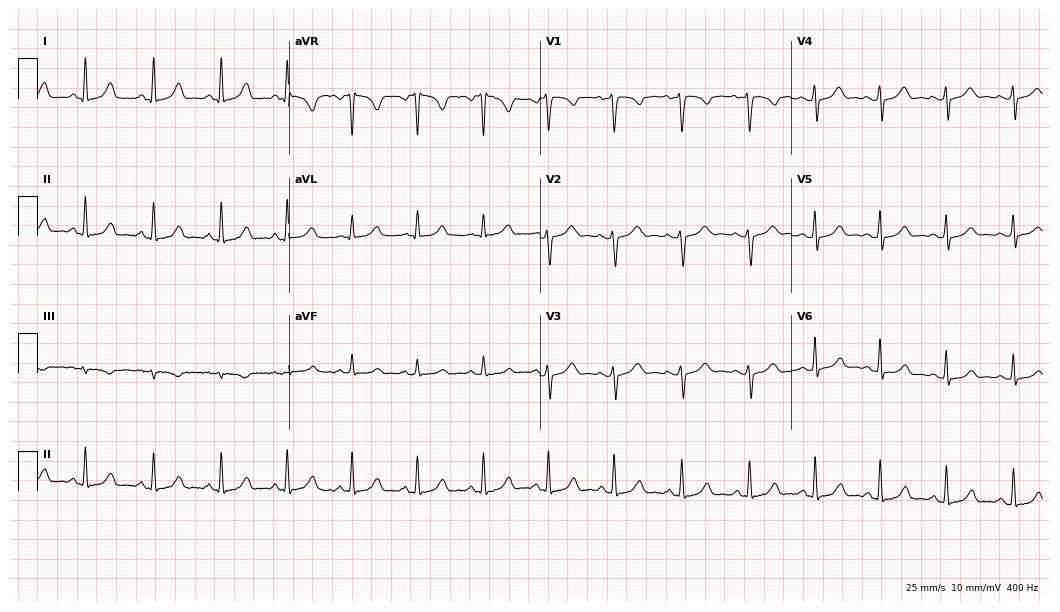
12-lead ECG from a female patient, 32 years old. Labelled as a normal ECG.